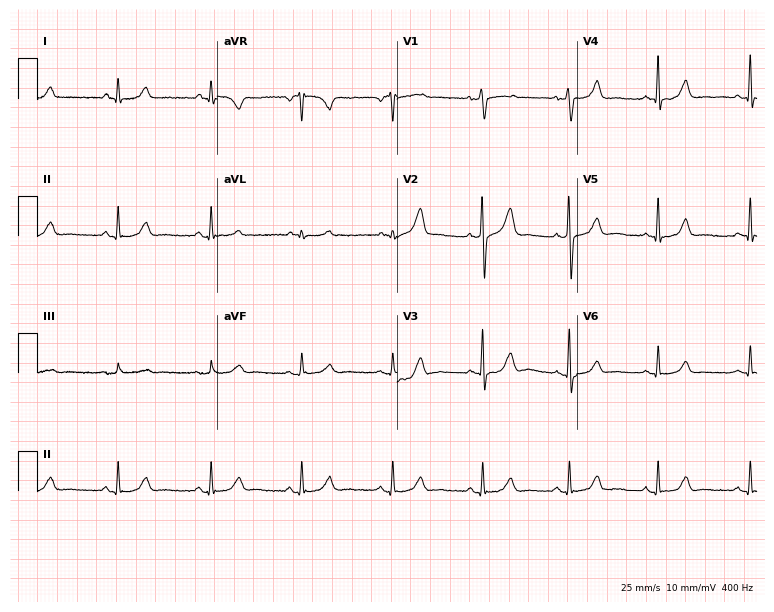
Resting 12-lead electrocardiogram. Patient: a woman, 61 years old. Read as a normal ECG.